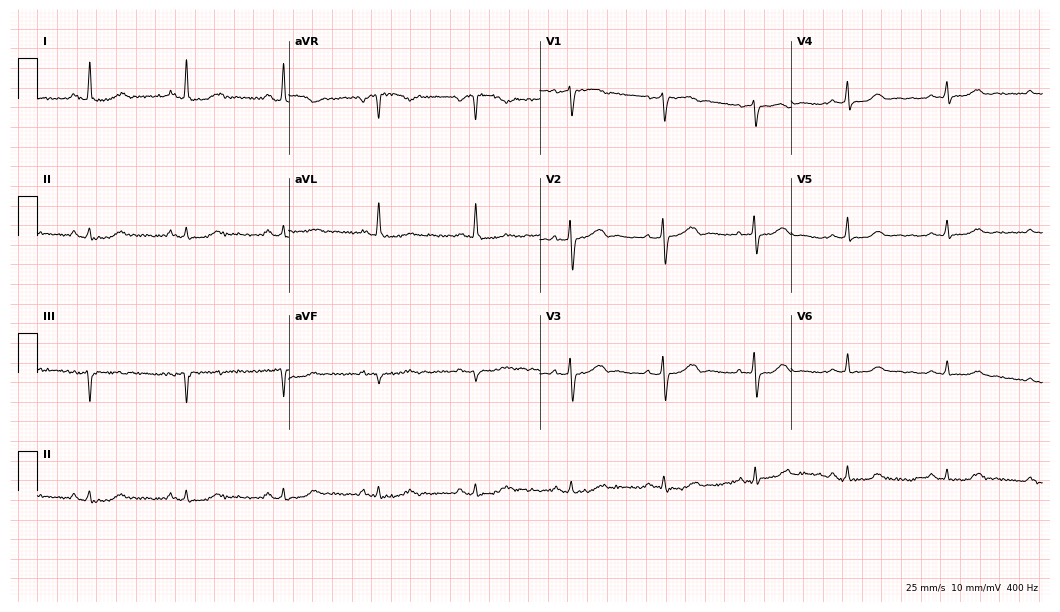
12-lead ECG from a 56-year-old woman. Recorded interpretation: within normal limits.